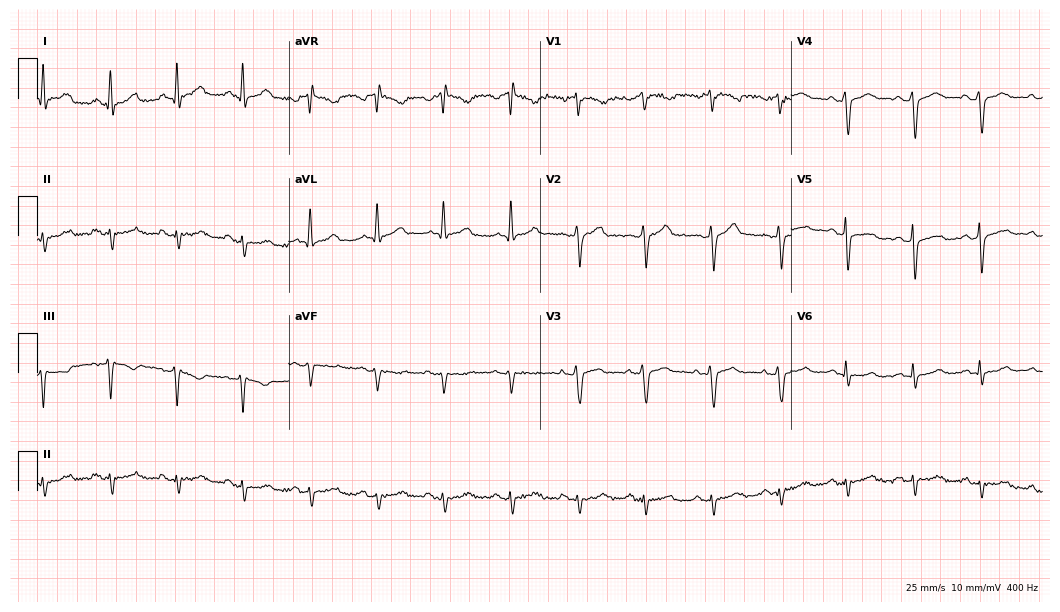
Standard 12-lead ECG recorded from a 59-year-old male patient (10.2-second recording at 400 Hz). None of these six findings is recorded: first-degree AV block, right bundle branch block (RBBB), left bundle branch block (LBBB), sinus bradycardia, atrial fibrillation (AF), sinus tachycardia.